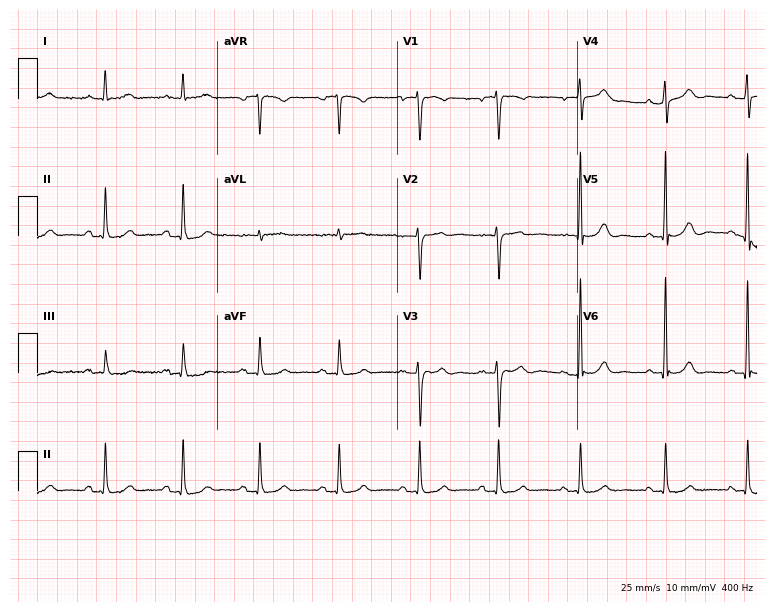
Electrocardiogram (7.3-second recording at 400 Hz), a 78-year-old female patient. Of the six screened findings (first-degree AV block, right bundle branch block, left bundle branch block, sinus bradycardia, atrial fibrillation, sinus tachycardia), none is recorded. Only these six findings were labelled.